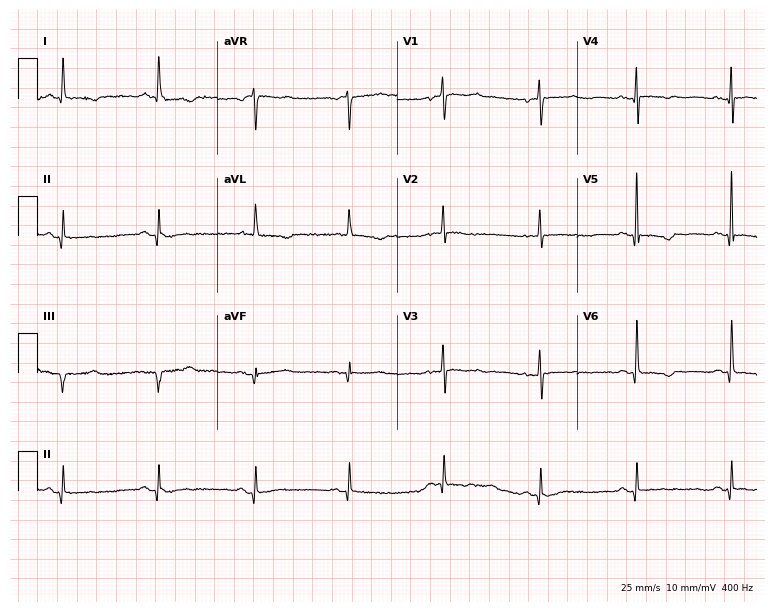
Resting 12-lead electrocardiogram. Patient: a 50-year-old woman. None of these six findings is recorded: first-degree AV block, right bundle branch block, left bundle branch block, sinus bradycardia, atrial fibrillation, sinus tachycardia.